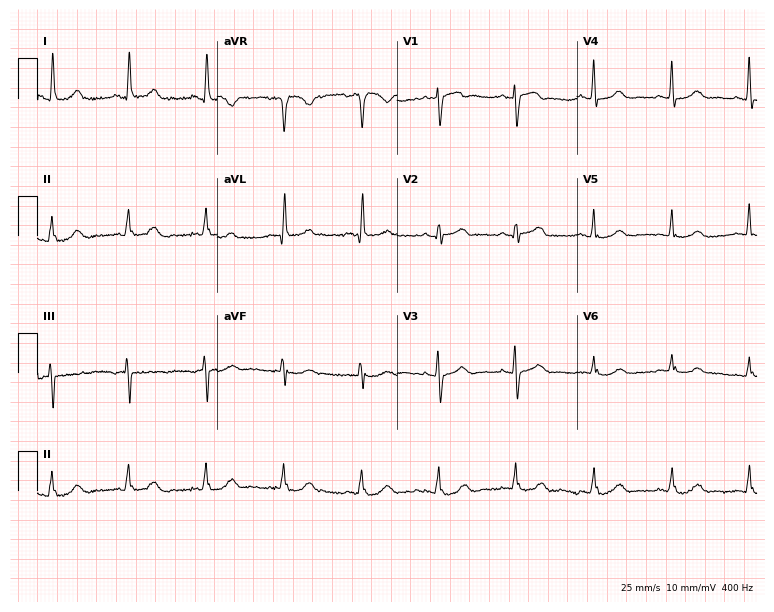
Standard 12-lead ECG recorded from a female patient, 68 years old. Read as a normal ECG.